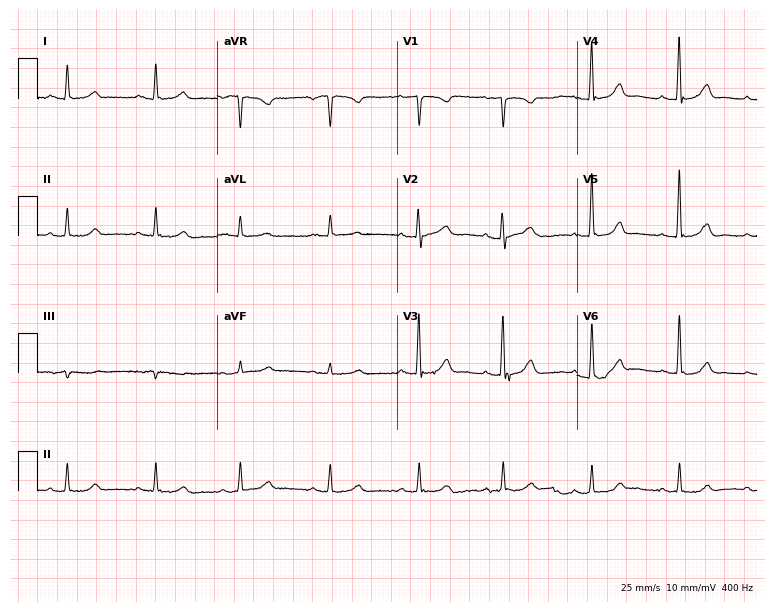
12-lead ECG from a 51-year-old female patient (7.3-second recording at 400 Hz). No first-degree AV block, right bundle branch block, left bundle branch block, sinus bradycardia, atrial fibrillation or sinus tachycardia recorded for this tracing. Findings outside these six are not listed.